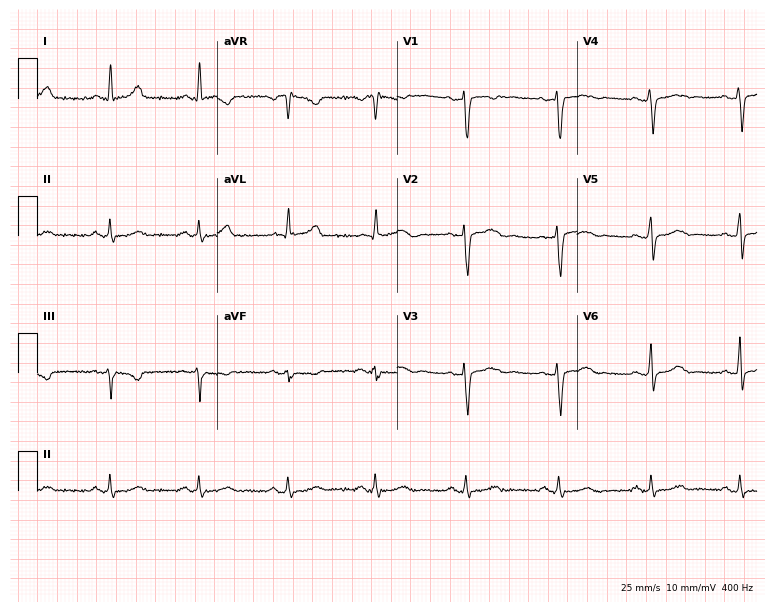
12-lead ECG (7.3-second recording at 400 Hz) from a 44-year-old woman. Screened for six findings — first-degree AV block, right bundle branch block (RBBB), left bundle branch block (LBBB), sinus bradycardia, atrial fibrillation (AF), sinus tachycardia — none is recorded.